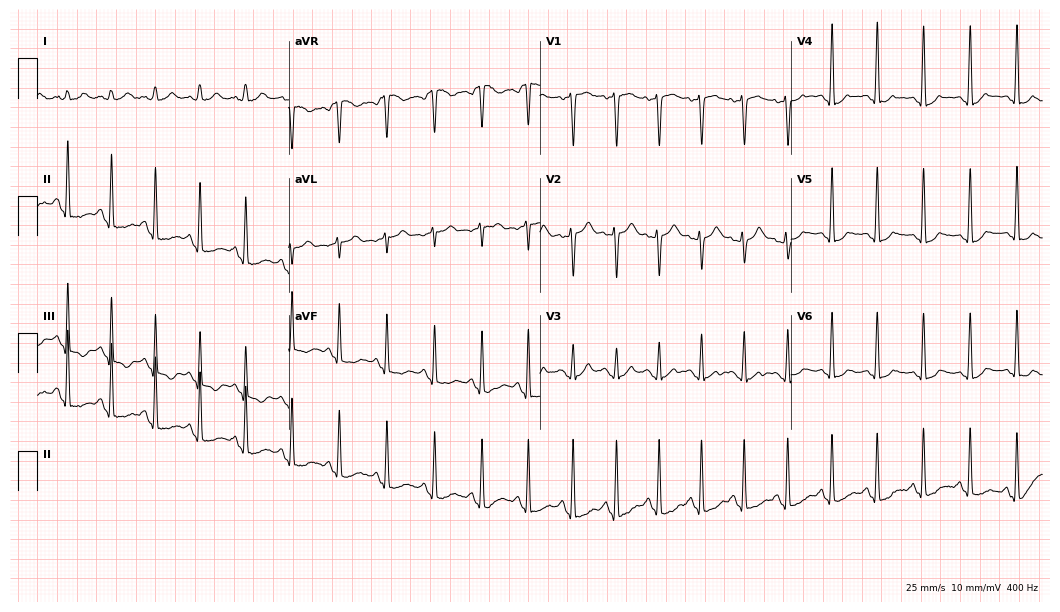
12-lead ECG (10.2-second recording at 400 Hz) from a woman, 23 years old. Findings include sinus tachycardia (a sinus rate of 100 beats per minute or more).